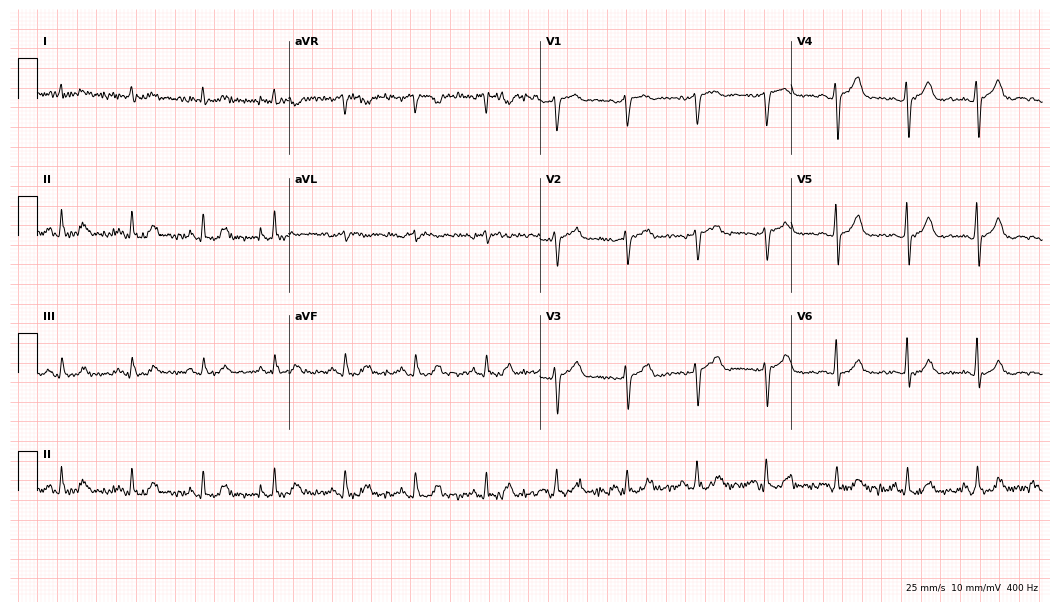
ECG (10.2-second recording at 400 Hz) — a male, 68 years old. Labelled as a normal ECG.